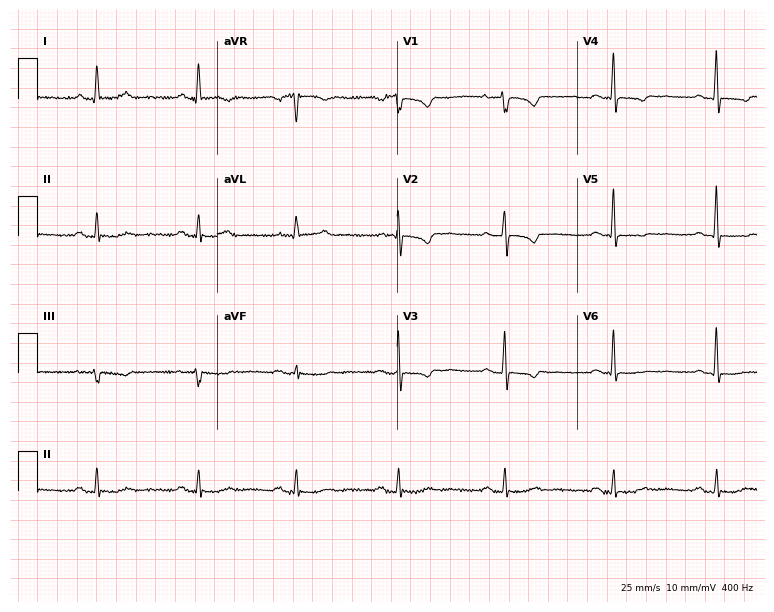
Resting 12-lead electrocardiogram. Patient: a 60-year-old female. None of these six findings is recorded: first-degree AV block, right bundle branch block, left bundle branch block, sinus bradycardia, atrial fibrillation, sinus tachycardia.